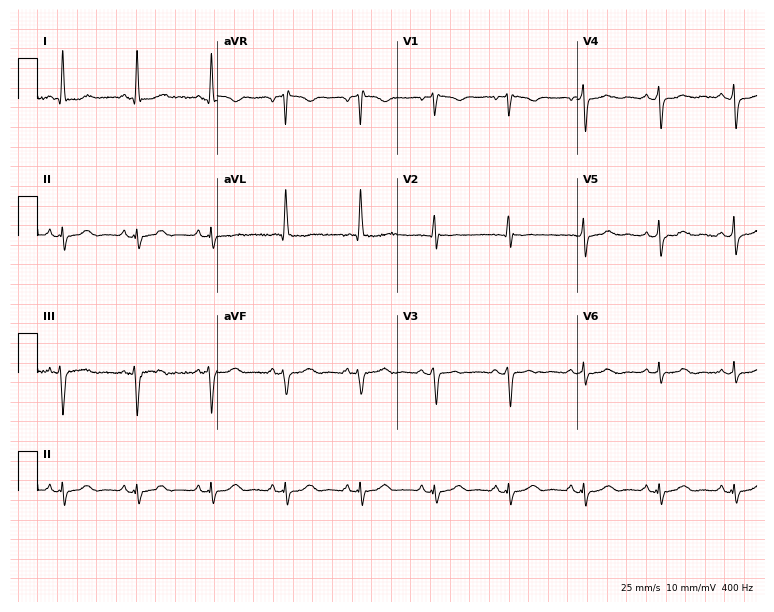
ECG (7.3-second recording at 400 Hz) — a 67-year-old female patient. Screened for six findings — first-degree AV block, right bundle branch block, left bundle branch block, sinus bradycardia, atrial fibrillation, sinus tachycardia — none is recorded. Findings outside these six are not listed.